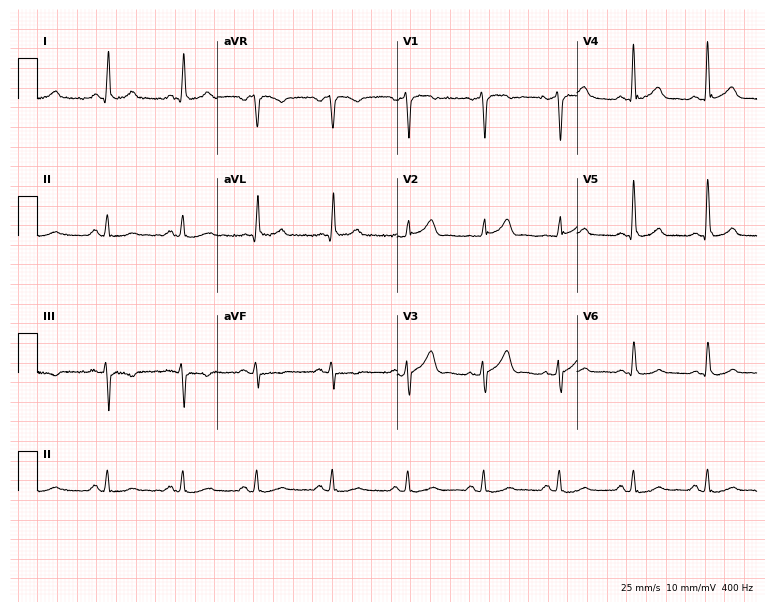
Standard 12-lead ECG recorded from a 65-year-old male patient. None of these six findings is recorded: first-degree AV block, right bundle branch block, left bundle branch block, sinus bradycardia, atrial fibrillation, sinus tachycardia.